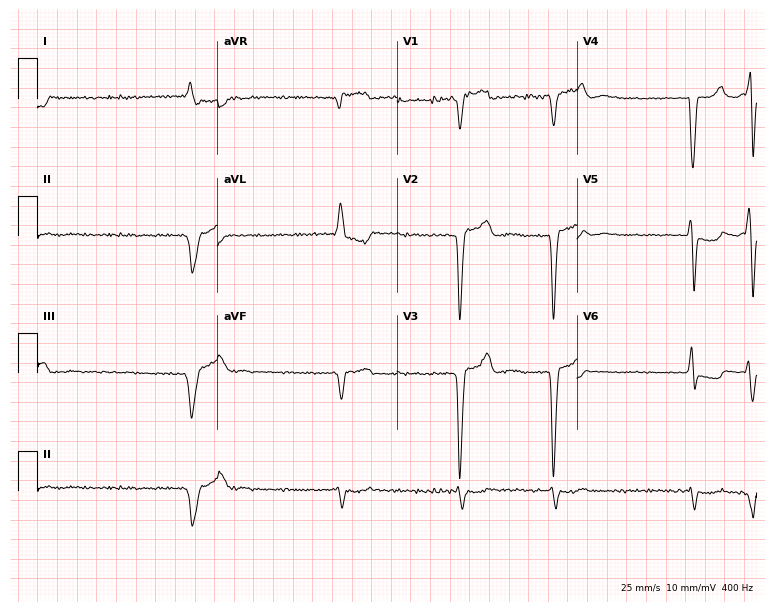
12-lead ECG from a male, 84 years old (7.3-second recording at 400 Hz). Shows left bundle branch block, atrial fibrillation.